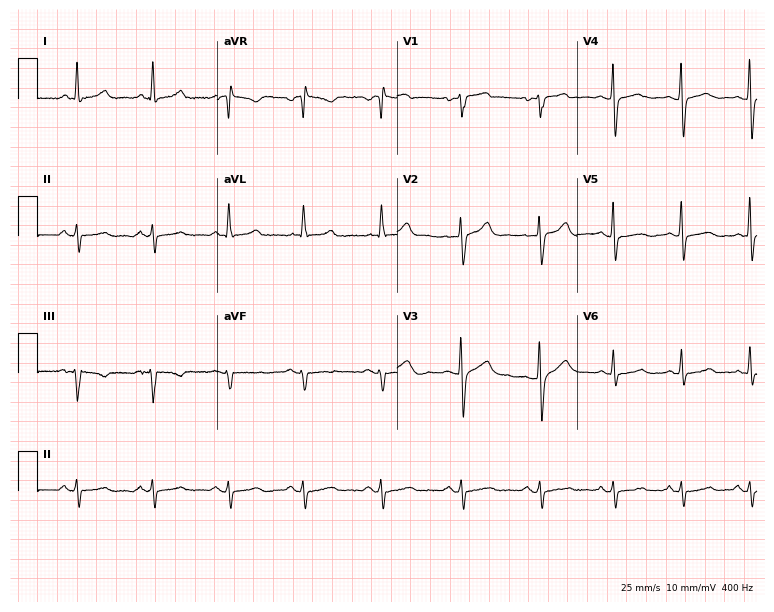
12-lead ECG from a 58-year-old female patient (7.3-second recording at 400 Hz). No first-degree AV block, right bundle branch block, left bundle branch block, sinus bradycardia, atrial fibrillation or sinus tachycardia recorded for this tracing. Findings outside these six are not listed.